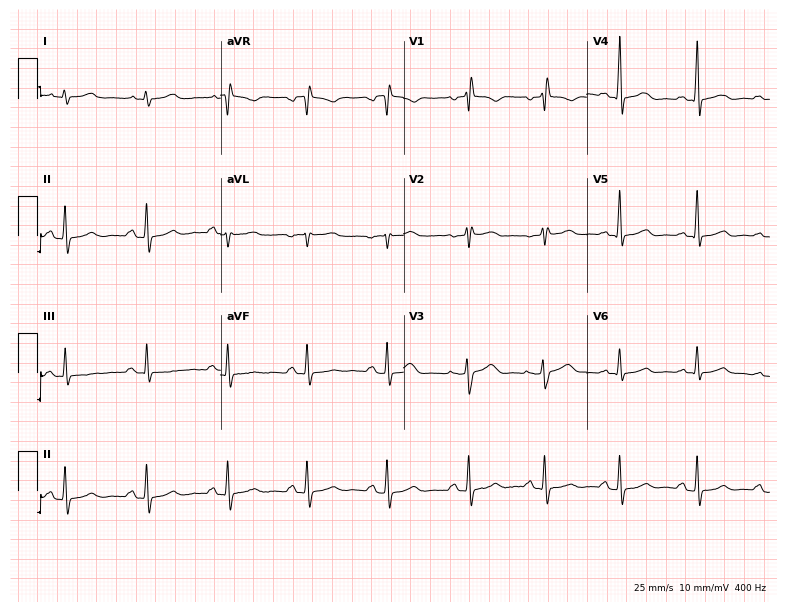
Standard 12-lead ECG recorded from a woman, 40 years old. None of these six findings is recorded: first-degree AV block, right bundle branch block, left bundle branch block, sinus bradycardia, atrial fibrillation, sinus tachycardia.